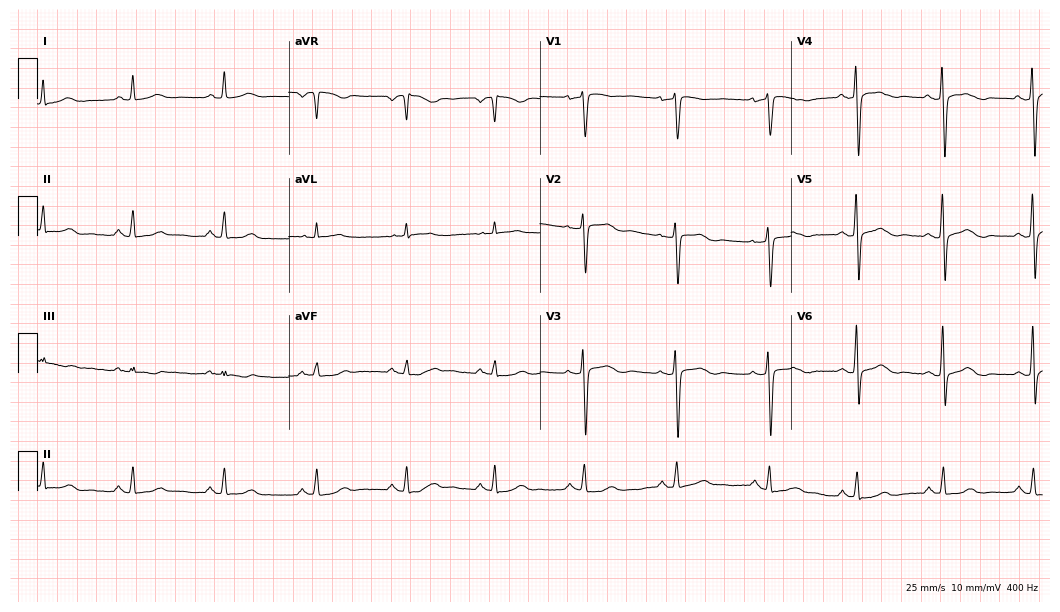
Electrocardiogram, a 59-year-old female. Of the six screened findings (first-degree AV block, right bundle branch block, left bundle branch block, sinus bradycardia, atrial fibrillation, sinus tachycardia), none is recorded. Findings outside these six are not listed.